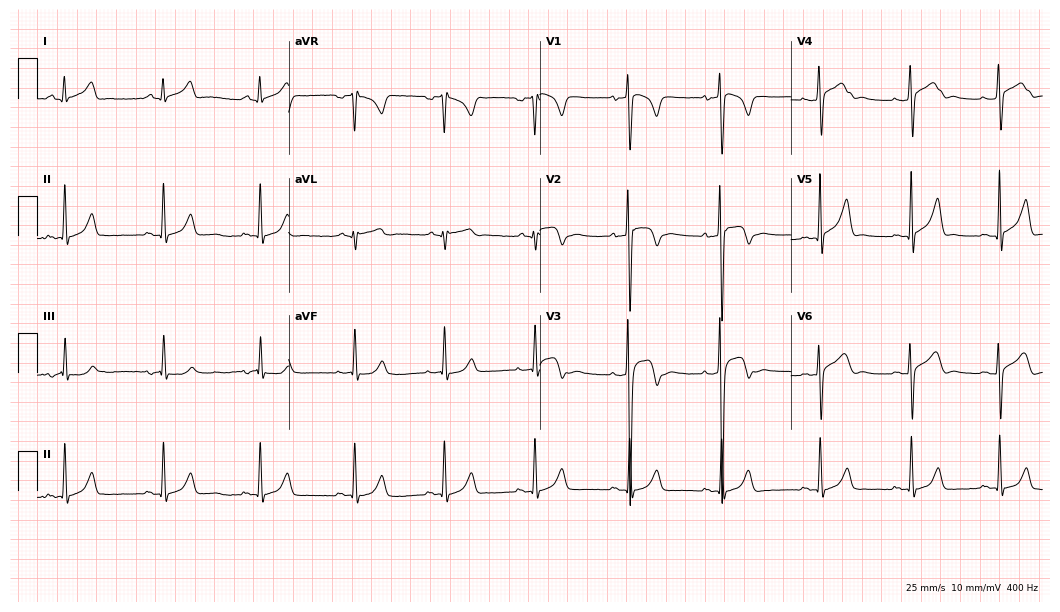
ECG — a 22-year-old male. Labelled as a normal ECG.